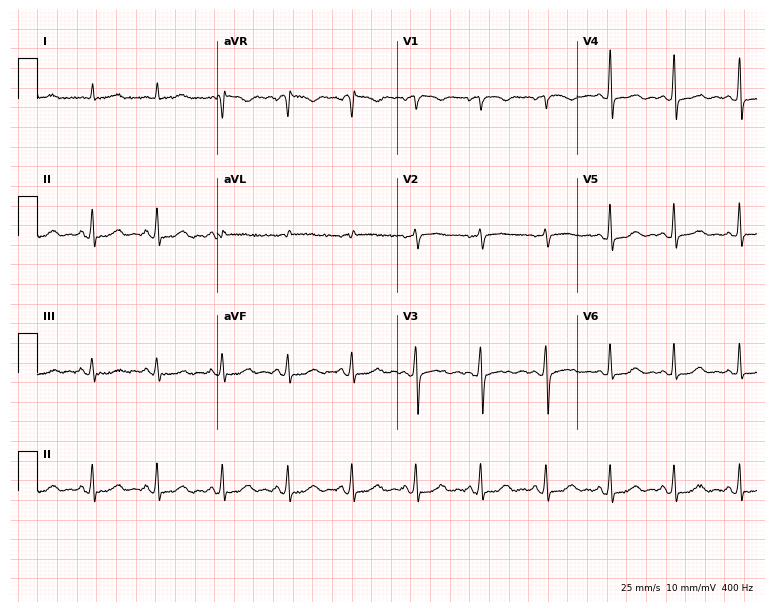
12-lead ECG from a female, 56 years old (7.3-second recording at 400 Hz). Recorded interpretation: within normal limits.